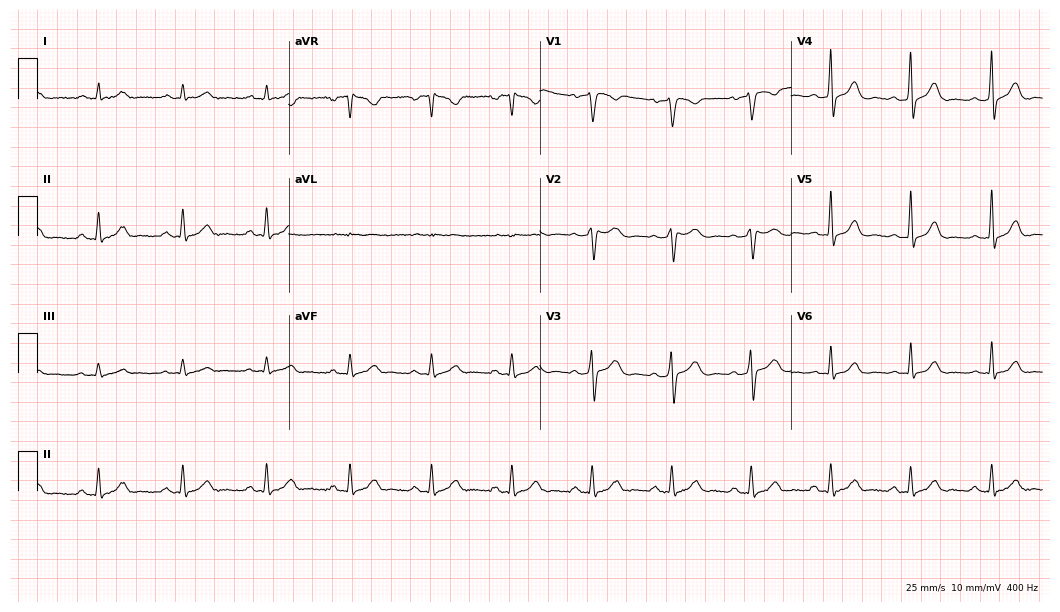
Standard 12-lead ECG recorded from a male, 52 years old (10.2-second recording at 400 Hz). None of these six findings is recorded: first-degree AV block, right bundle branch block (RBBB), left bundle branch block (LBBB), sinus bradycardia, atrial fibrillation (AF), sinus tachycardia.